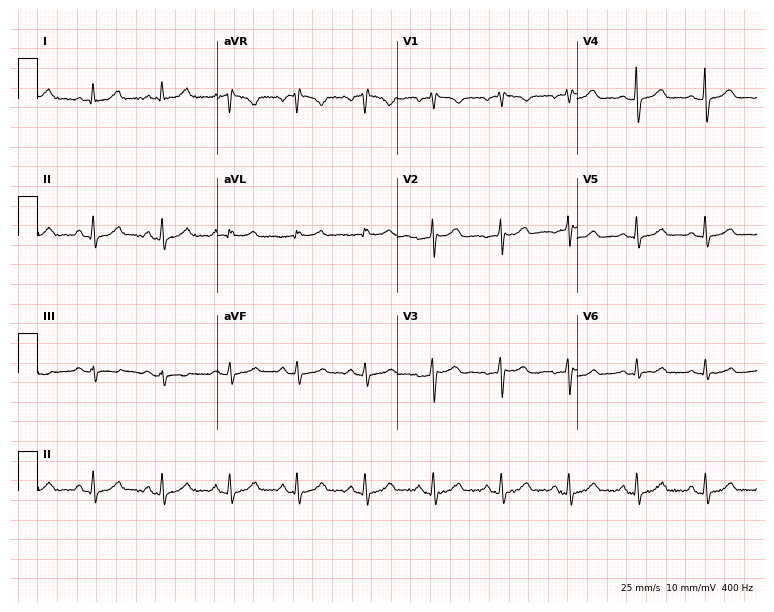
Resting 12-lead electrocardiogram. Patient: a 61-year-old woman. Read as a normal ECG.